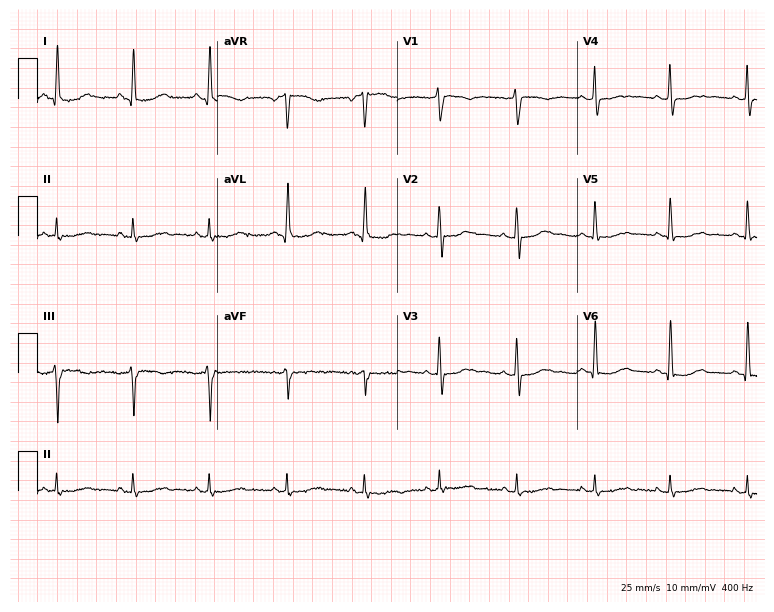
12-lead ECG from a 46-year-old woman. Recorded interpretation: within normal limits.